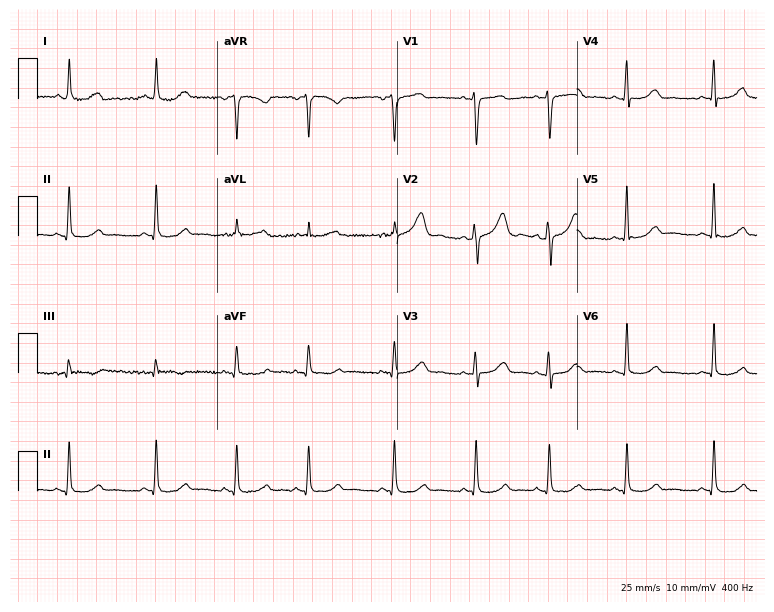
Resting 12-lead electrocardiogram (7.3-second recording at 400 Hz). Patient: a woman, 53 years old. Read as a normal ECG.